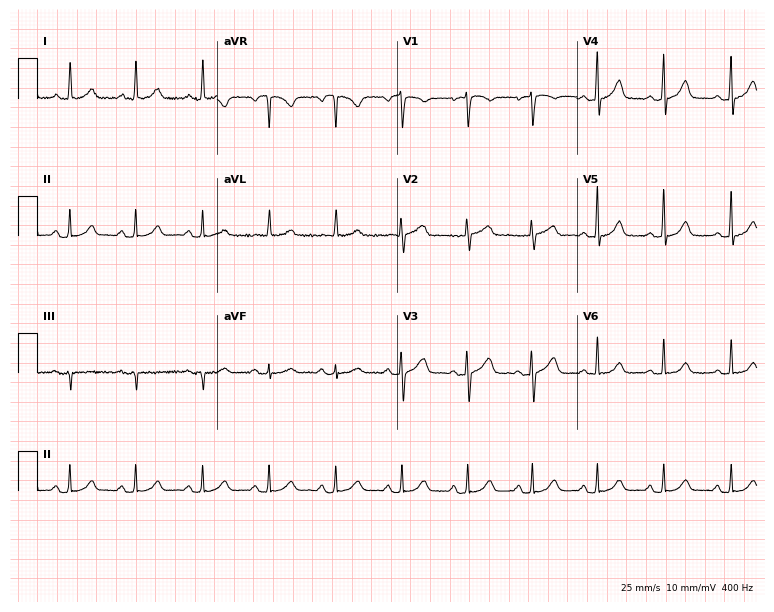
Electrocardiogram (7.3-second recording at 400 Hz), a 63-year-old female patient. Overall reading on record: normal ECG.